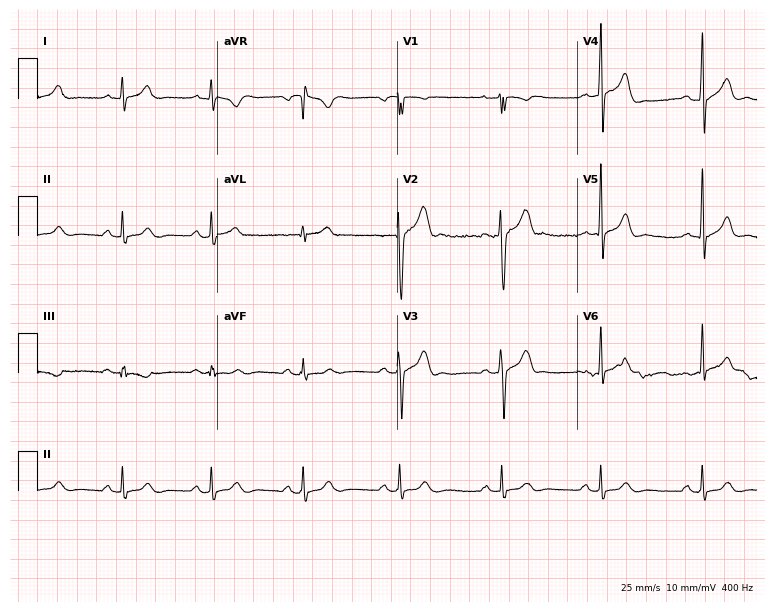
Standard 12-lead ECG recorded from a 37-year-old man. None of these six findings is recorded: first-degree AV block, right bundle branch block, left bundle branch block, sinus bradycardia, atrial fibrillation, sinus tachycardia.